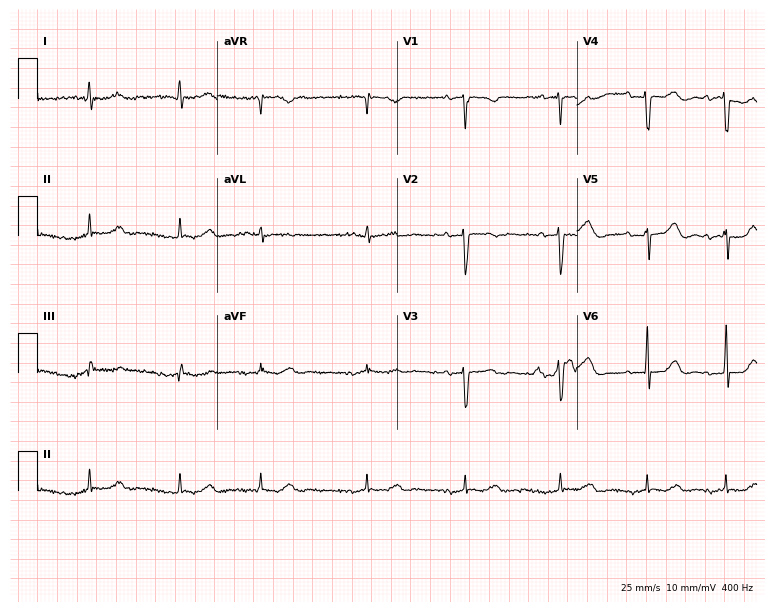
Standard 12-lead ECG recorded from an 80-year-old female. None of these six findings is recorded: first-degree AV block, right bundle branch block (RBBB), left bundle branch block (LBBB), sinus bradycardia, atrial fibrillation (AF), sinus tachycardia. Other findings, if any, are not listed.